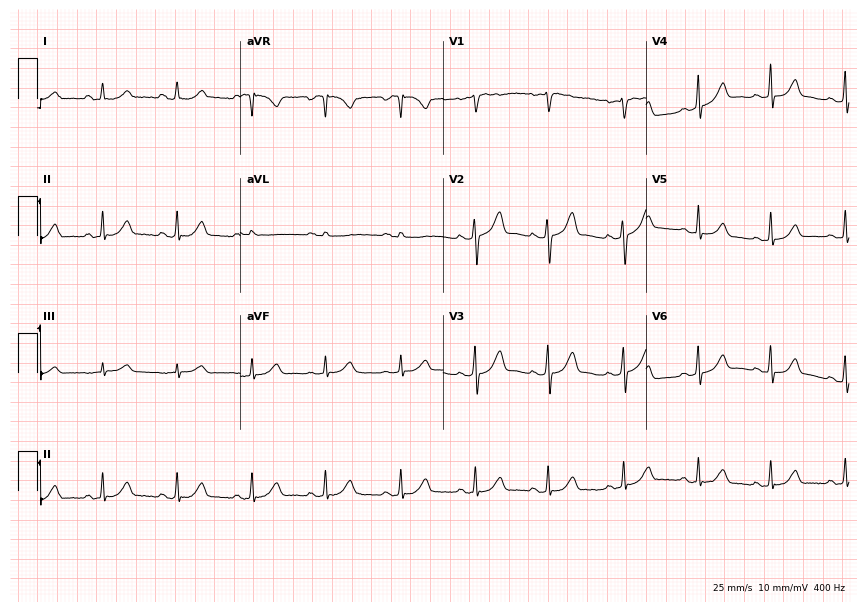
12-lead ECG (8.3-second recording at 400 Hz) from a woman, 28 years old. Labelled as a normal ECG.